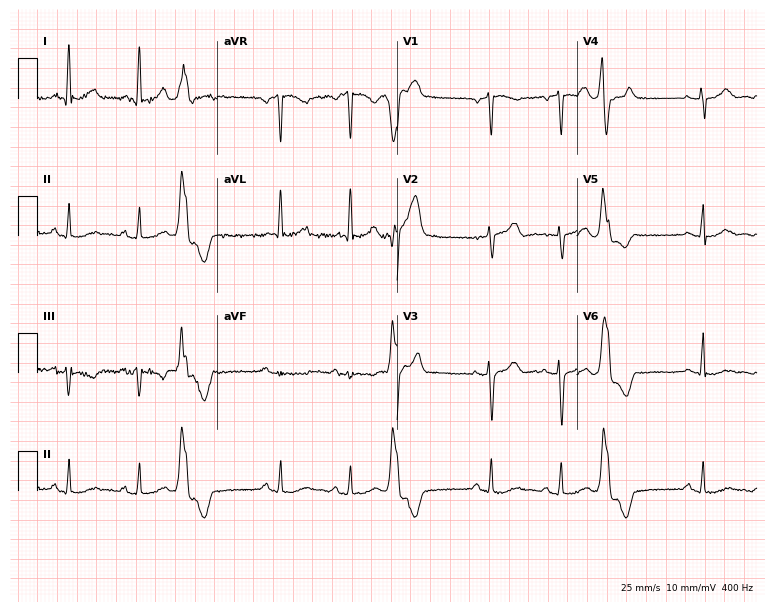
12-lead ECG from a female patient, 70 years old. No first-degree AV block, right bundle branch block, left bundle branch block, sinus bradycardia, atrial fibrillation or sinus tachycardia recorded for this tracing. Other findings, if any, are not listed.